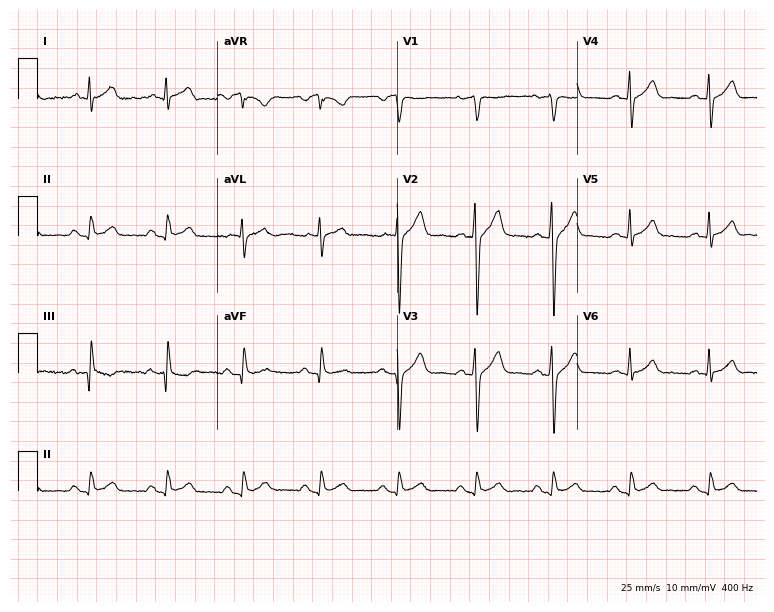
12-lead ECG (7.3-second recording at 400 Hz) from a 48-year-old man. Screened for six findings — first-degree AV block, right bundle branch block (RBBB), left bundle branch block (LBBB), sinus bradycardia, atrial fibrillation (AF), sinus tachycardia — none is recorded. Findings outside these six are not listed.